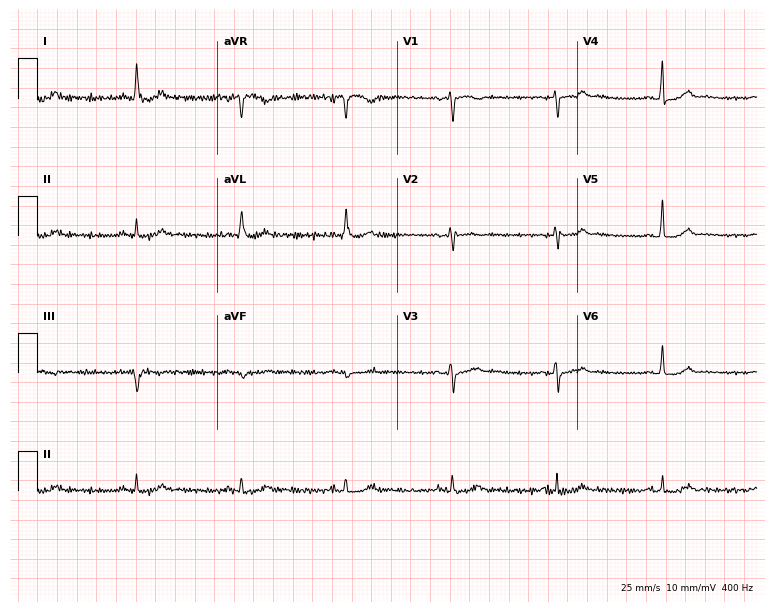
ECG — a 53-year-old woman. Screened for six findings — first-degree AV block, right bundle branch block (RBBB), left bundle branch block (LBBB), sinus bradycardia, atrial fibrillation (AF), sinus tachycardia — none is recorded. Findings outside these six are not listed.